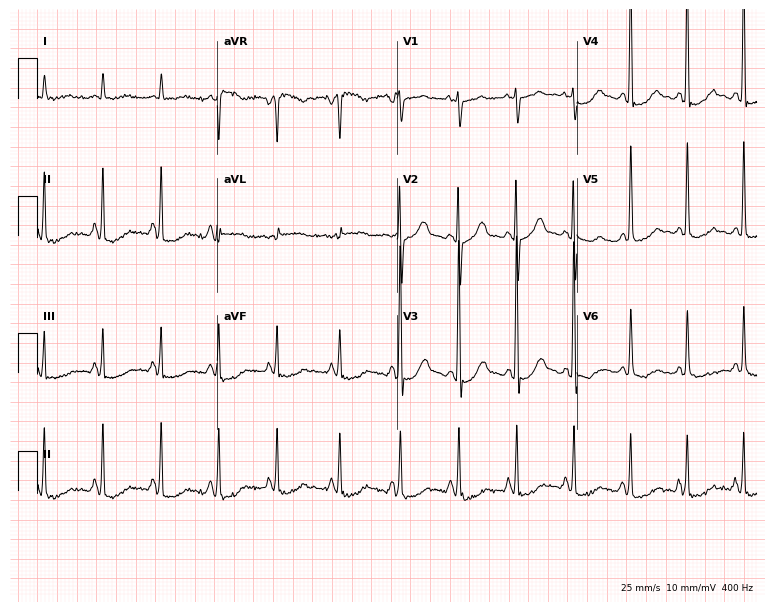
12-lead ECG from a 49-year-old female patient. Screened for six findings — first-degree AV block, right bundle branch block, left bundle branch block, sinus bradycardia, atrial fibrillation, sinus tachycardia — none is recorded.